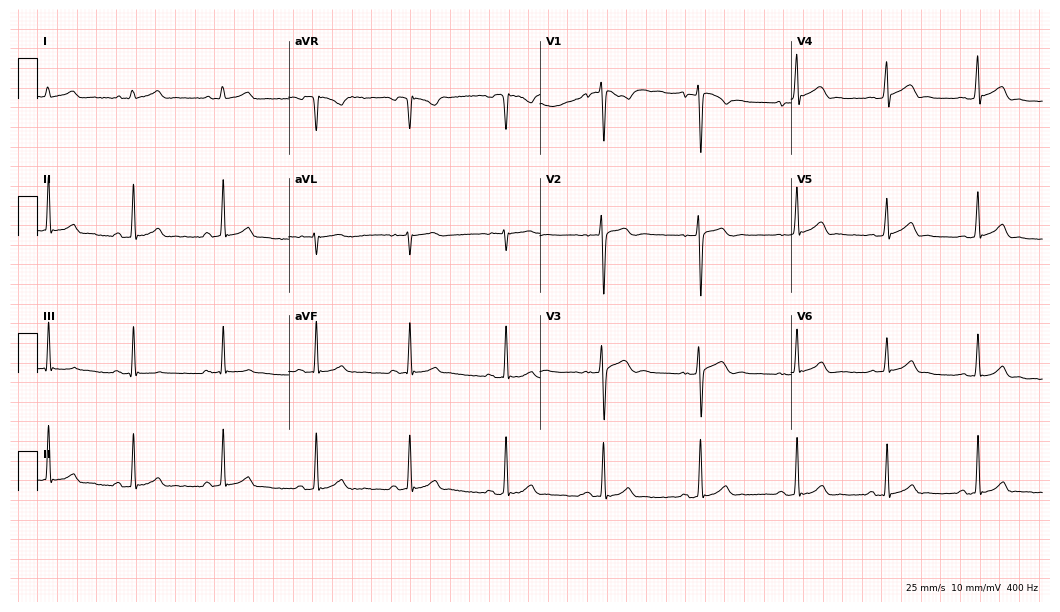
Standard 12-lead ECG recorded from an 18-year-old male. Read as a normal ECG.